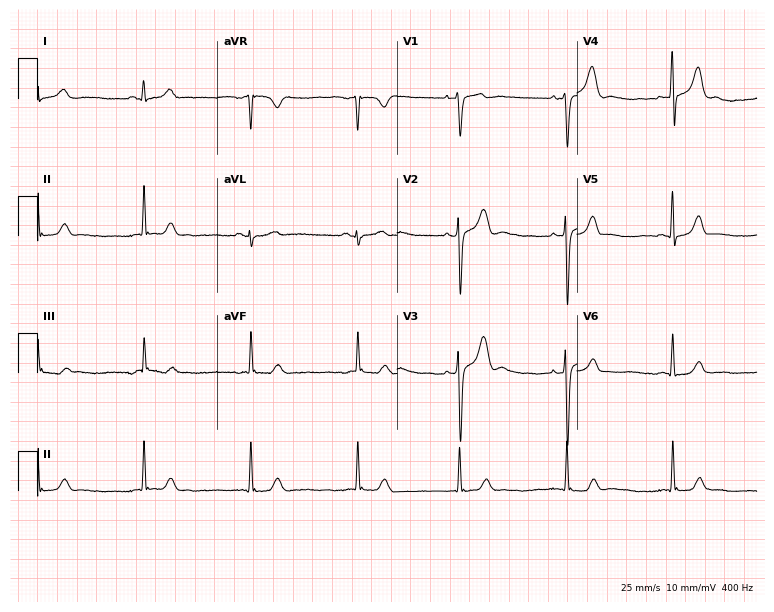
Electrocardiogram, a male, 35 years old. Of the six screened findings (first-degree AV block, right bundle branch block, left bundle branch block, sinus bradycardia, atrial fibrillation, sinus tachycardia), none is recorded.